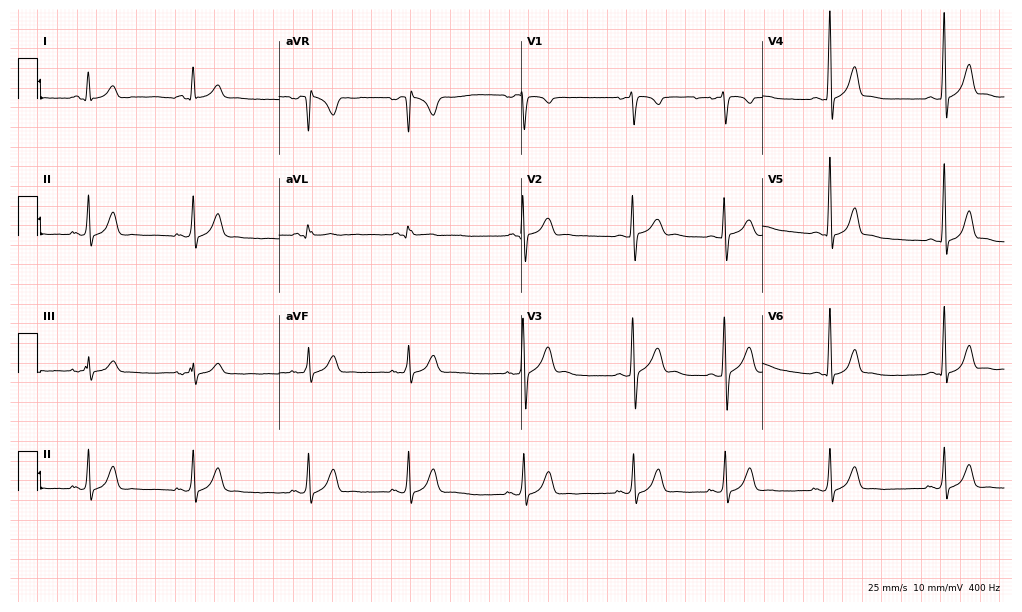
Electrocardiogram (9.9-second recording at 400 Hz), a 19-year-old male. Overall reading on record: normal ECG.